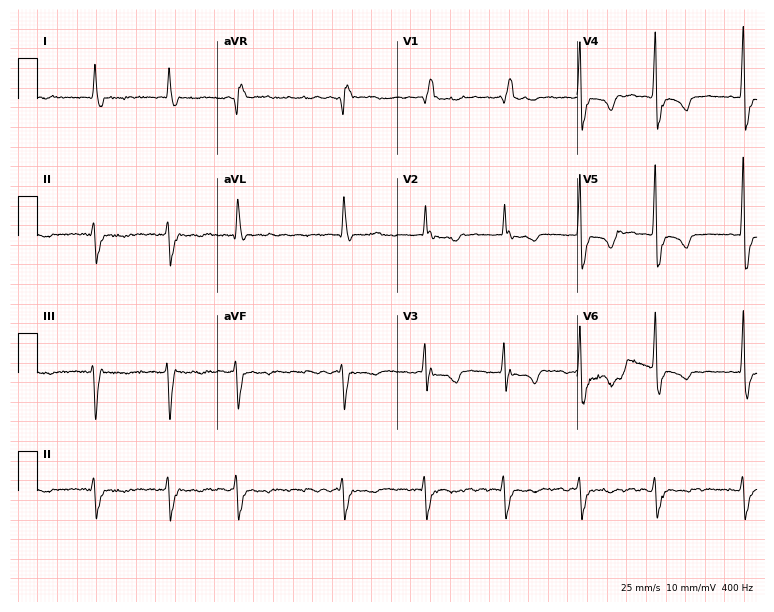
12-lead ECG from a 72-year-old female patient. Findings include right bundle branch block, atrial fibrillation.